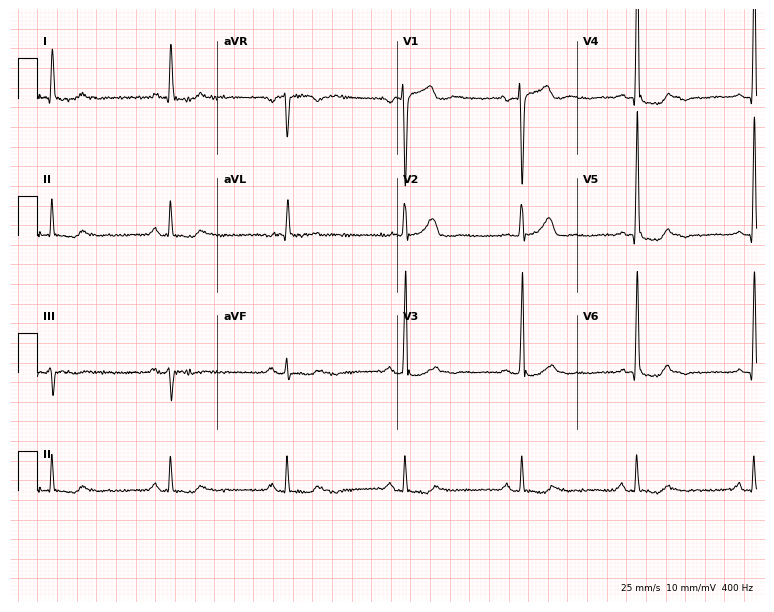
Standard 12-lead ECG recorded from a 70-year-old man. None of these six findings is recorded: first-degree AV block, right bundle branch block, left bundle branch block, sinus bradycardia, atrial fibrillation, sinus tachycardia.